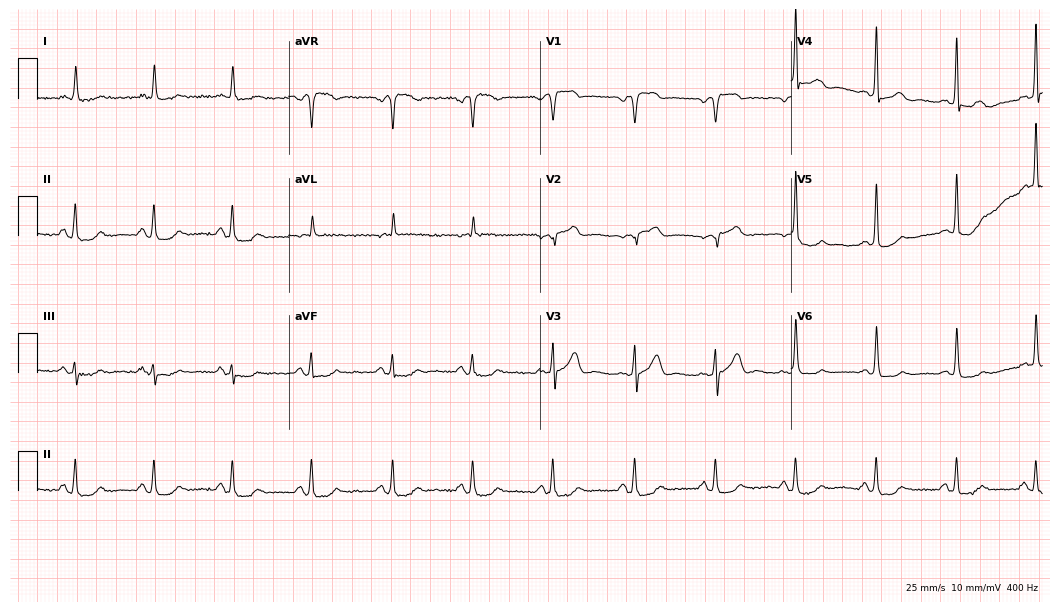
ECG — a 69-year-old man. Screened for six findings — first-degree AV block, right bundle branch block, left bundle branch block, sinus bradycardia, atrial fibrillation, sinus tachycardia — none is recorded.